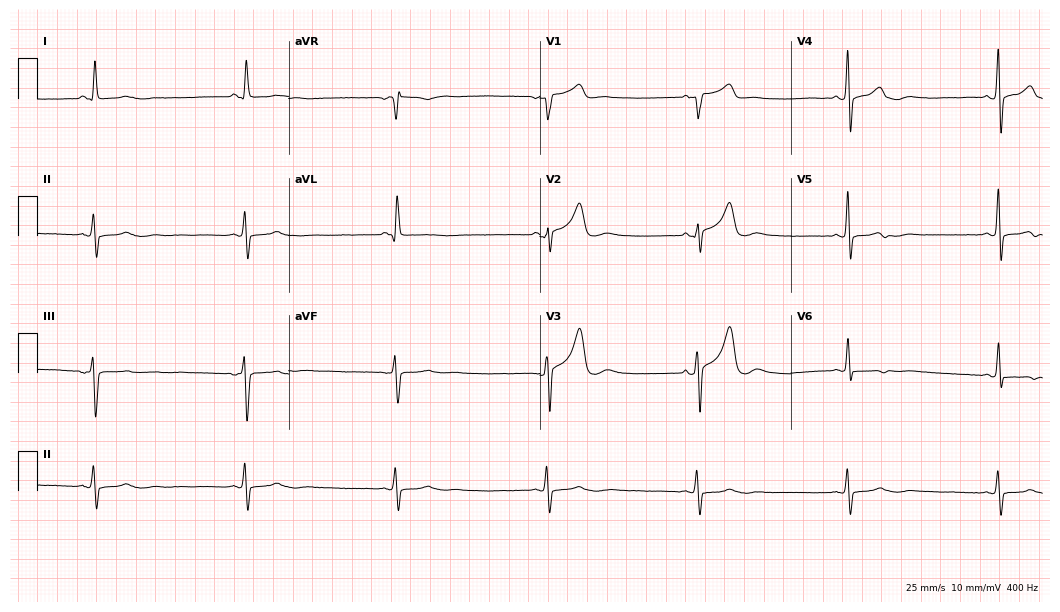
12-lead ECG from a male patient, 65 years old. Shows sinus bradycardia (a sinus rate of 50 beats per minute or less).